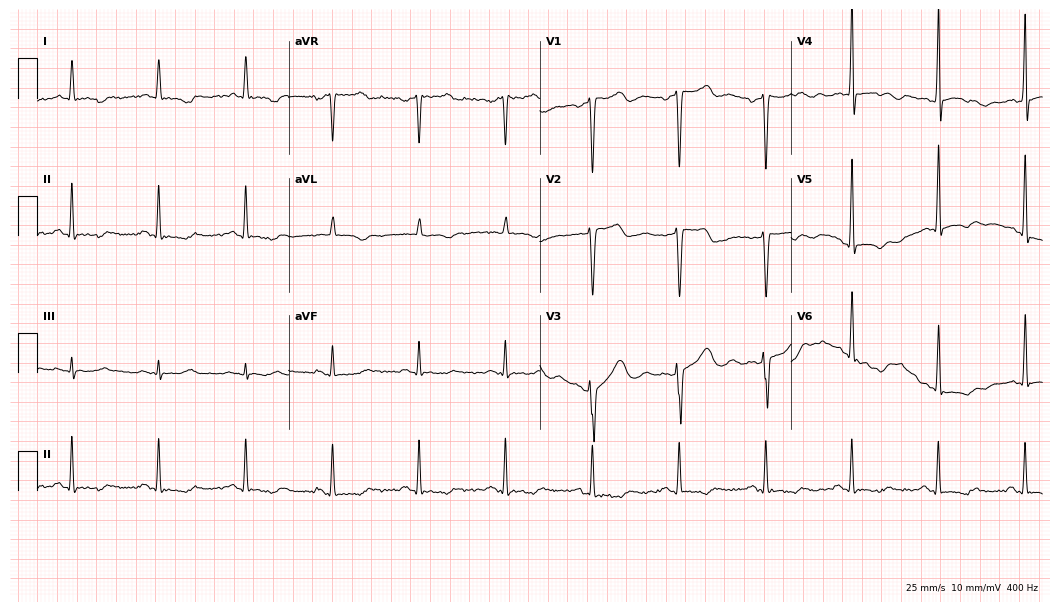
12-lead ECG from a male, 40 years old. Screened for six findings — first-degree AV block, right bundle branch block, left bundle branch block, sinus bradycardia, atrial fibrillation, sinus tachycardia — none is recorded.